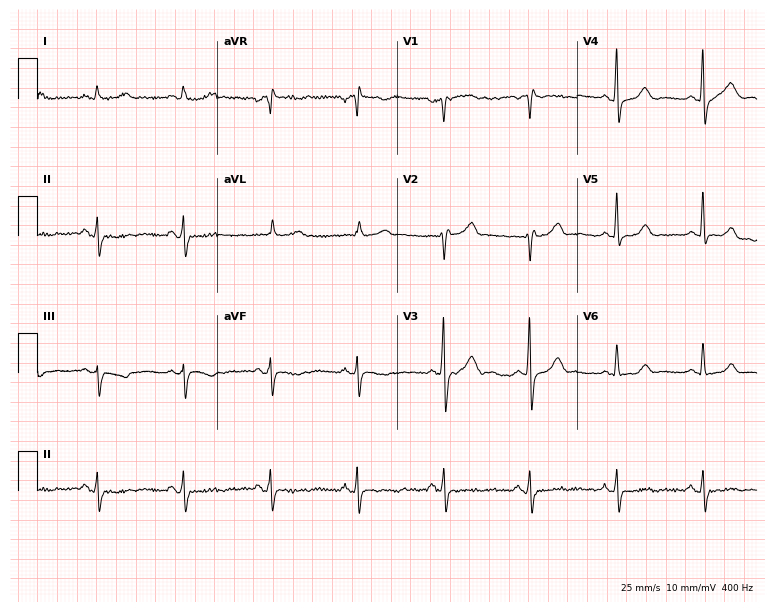
12-lead ECG from a man, 48 years old (7.3-second recording at 400 Hz). Recorded interpretation: within normal limits.